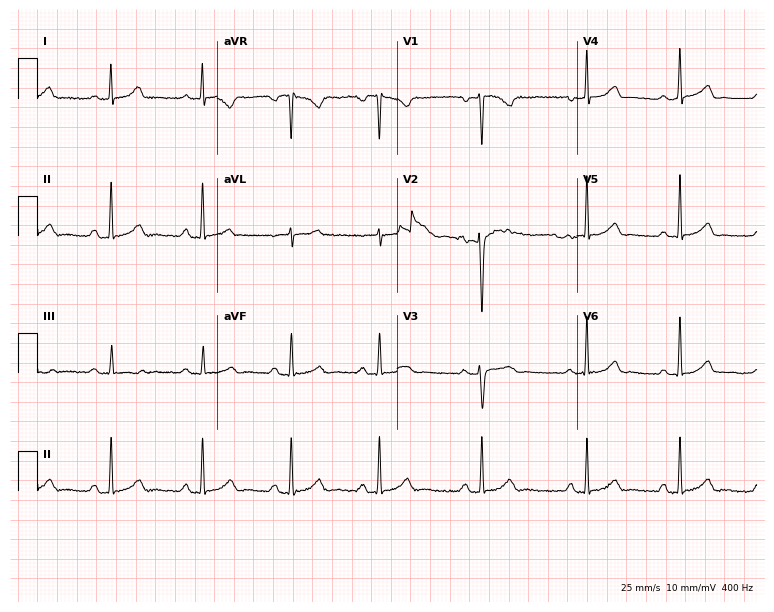
12-lead ECG from a 29-year-old female. Recorded interpretation: within normal limits.